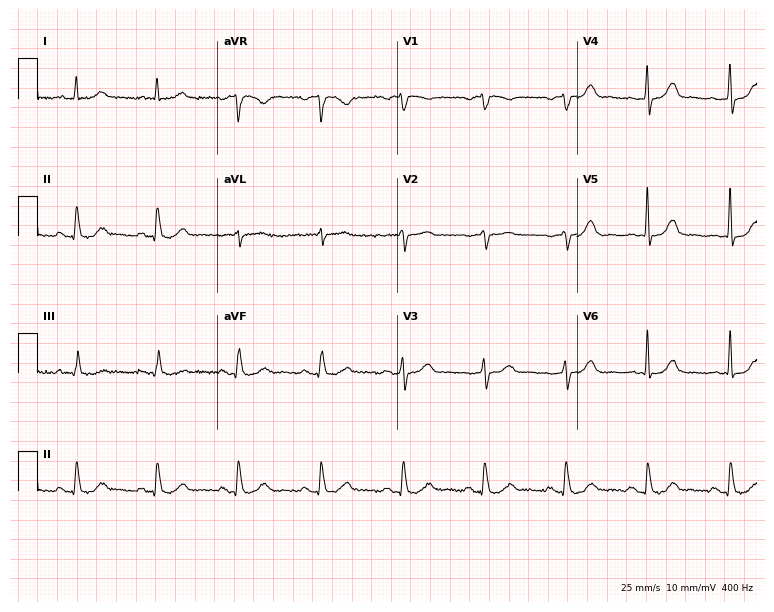
12-lead ECG from a 79-year-old male. Recorded interpretation: within normal limits.